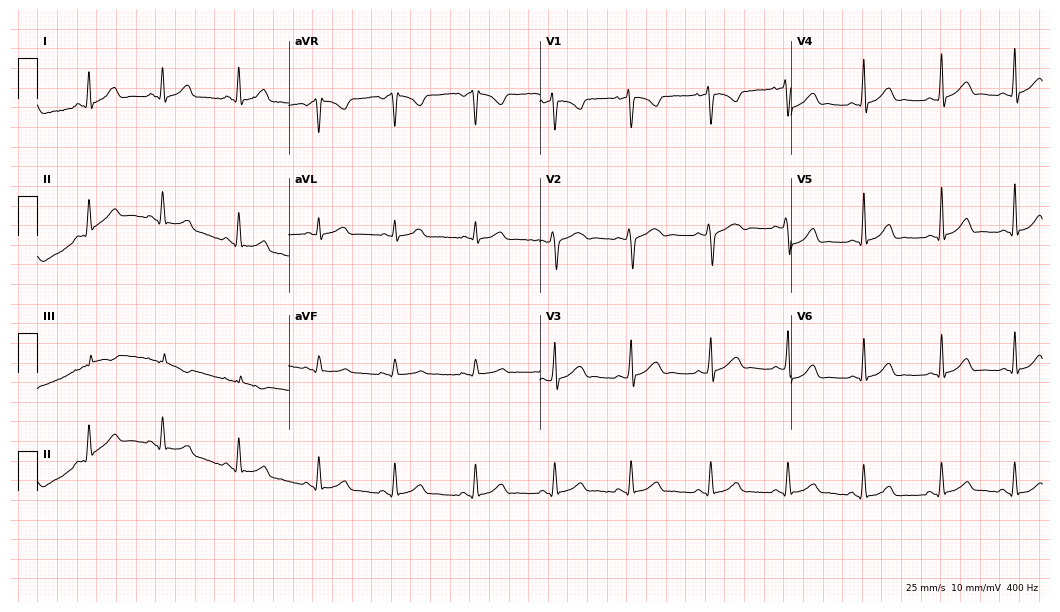
Resting 12-lead electrocardiogram. Patient: a female, 22 years old. None of these six findings is recorded: first-degree AV block, right bundle branch block, left bundle branch block, sinus bradycardia, atrial fibrillation, sinus tachycardia.